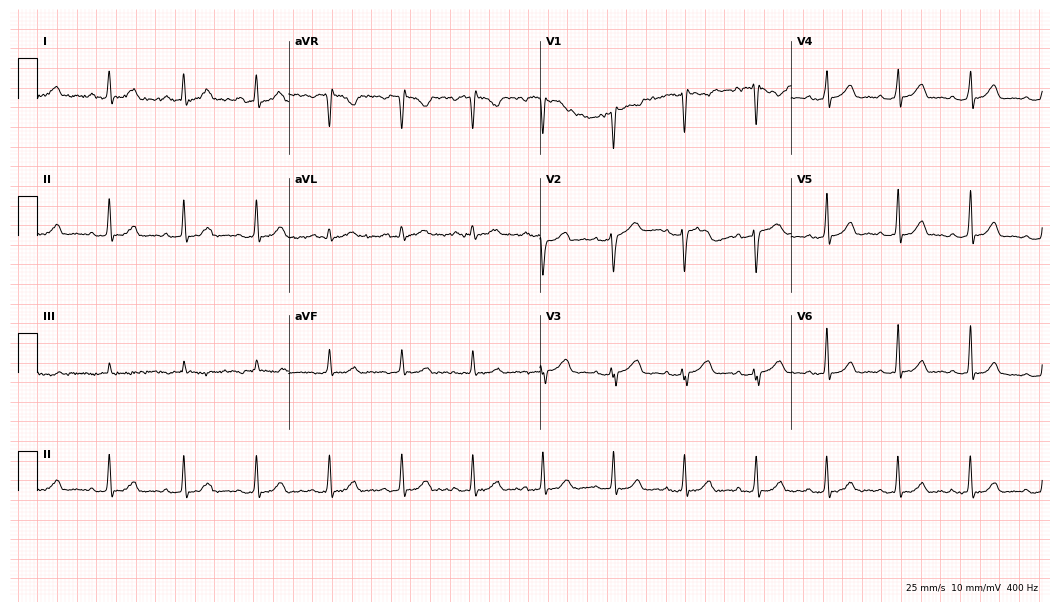
Electrocardiogram (10.2-second recording at 400 Hz), a 39-year-old woman. Overall reading on record: normal ECG.